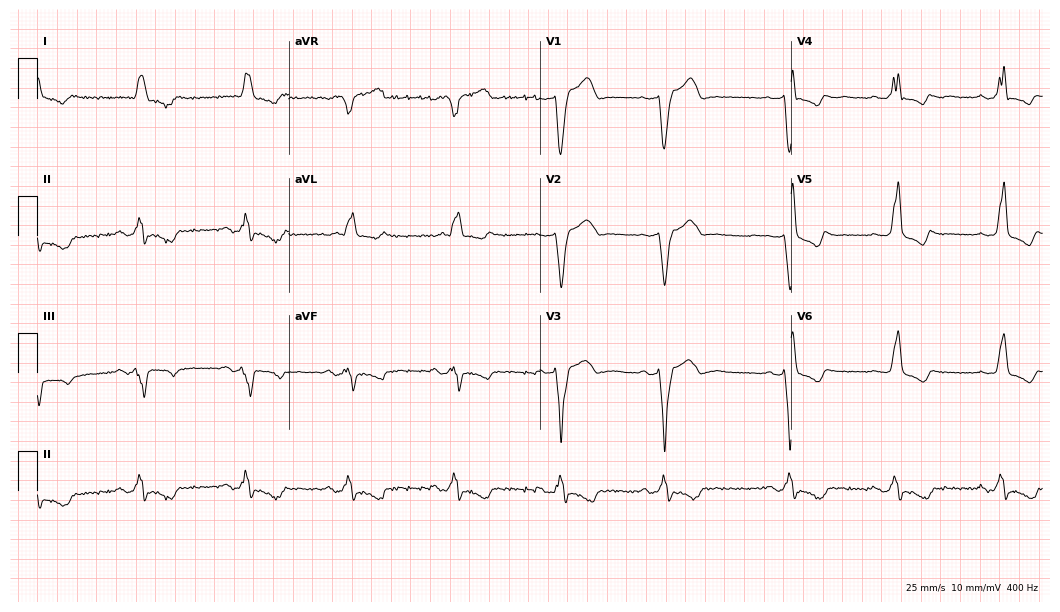
ECG (10.2-second recording at 400 Hz) — an 81-year-old female. Findings include left bundle branch block.